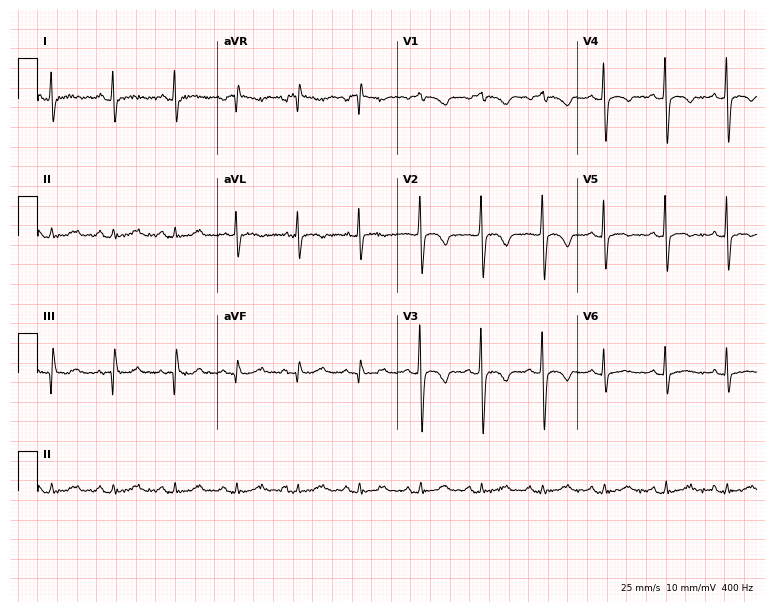
Standard 12-lead ECG recorded from a woman, 51 years old (7.3-second recording at 400 Hz). None of these six findings is recorded: first-degree AV block, right bundle branch block (RBBB), left bundle branch block (LBBB), sinus bradycardia, atrial fibrillation (AF), sinus tachycardia. Only these six findings were labelled.